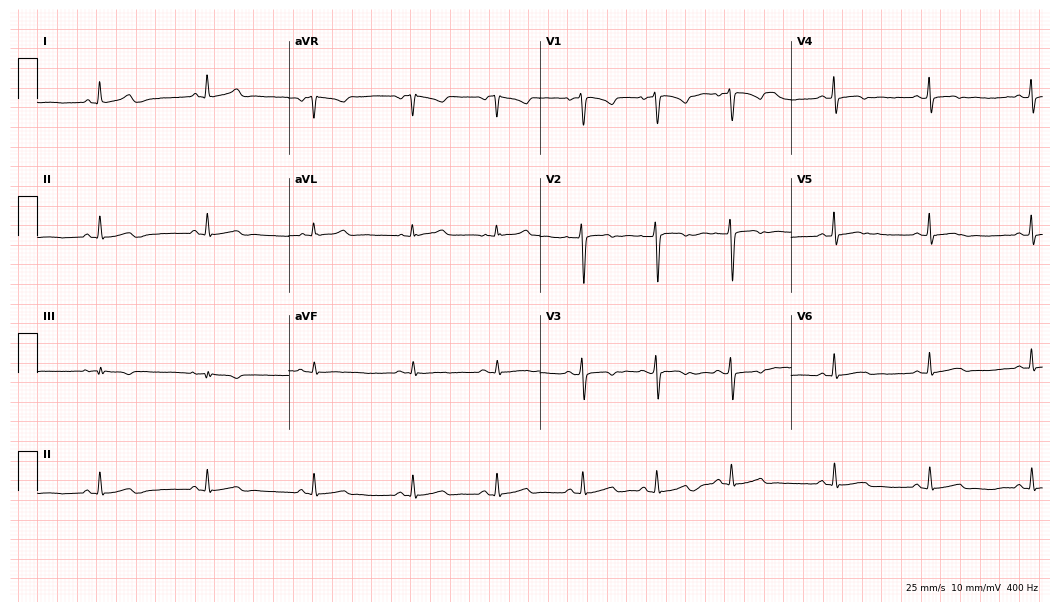
12-lead ECG from a female patient, 29 years old (10.2-second recording at 400 Hz). Recorded interpretation: within normal limits.